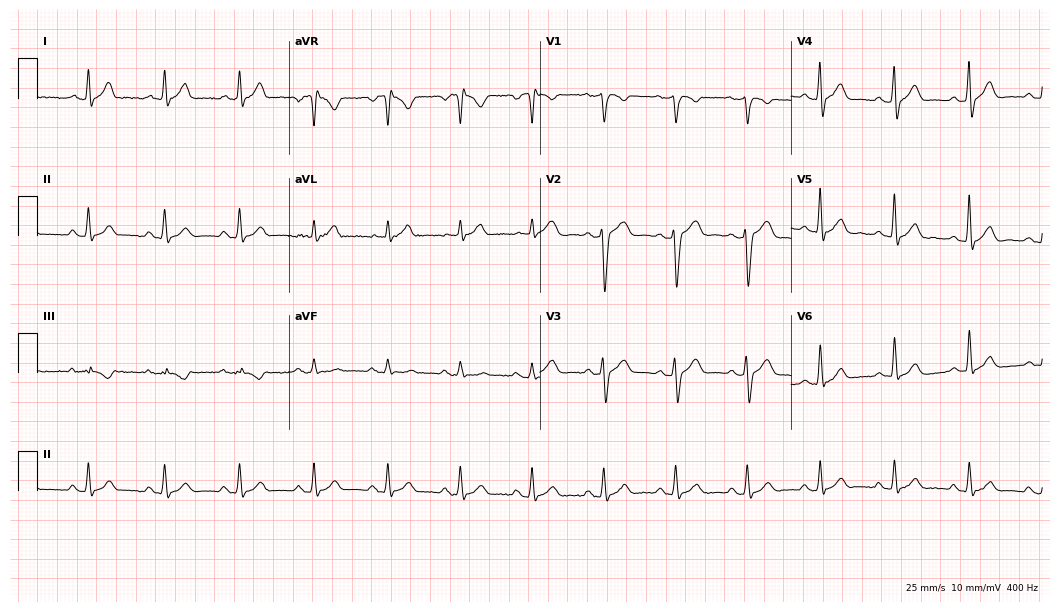
12-lead ECG (10.2-second recording at 400 Hz) from a 36-year-old man. Labelled as a normal ECG.